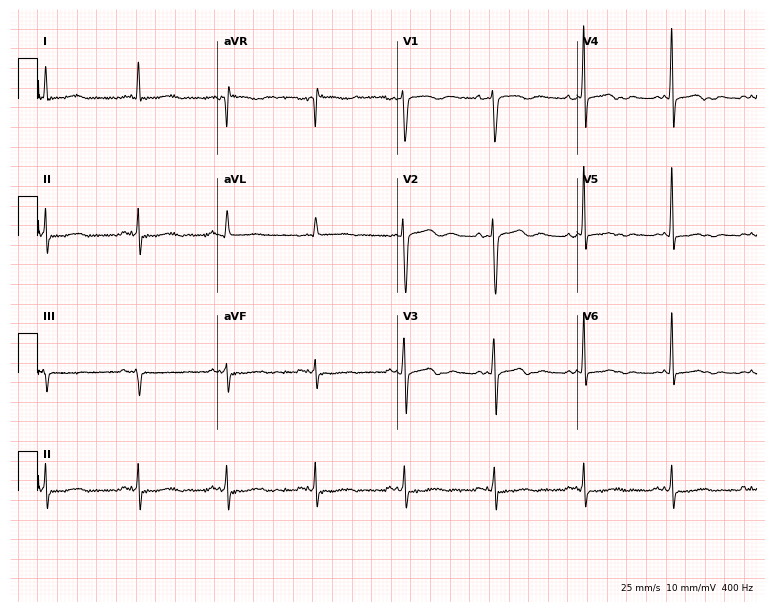
12-lead ECG from a 66-year-old woman. No first-degree AV block, right bundle branch block, left bundle branch block, sinus bradycardia, atrial fibrillation or sinus tachycardia recorded for this tracing. Findings outside these six are not listed.